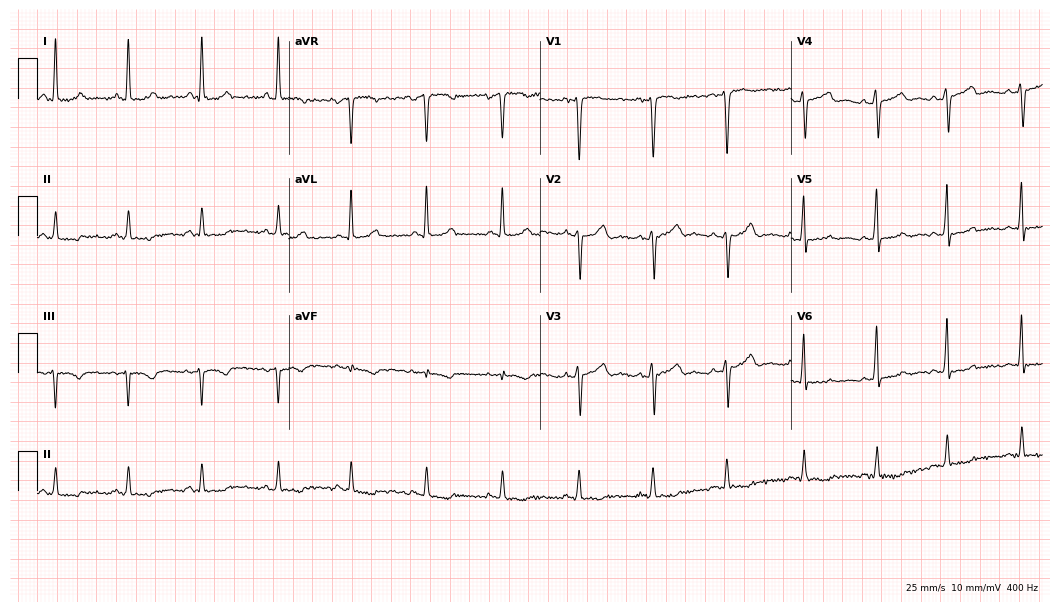
Electrocardiogram (10.2-second recording at 400 Hz), a female patient, 33 years old. Of the six screened findings (first-degree AV block, right bundle branch block, left bundle branch block, sinus bradycardia, atrial fibrillation, sinus tachycardia), none is recorded. Other findings, if any, are not listed.